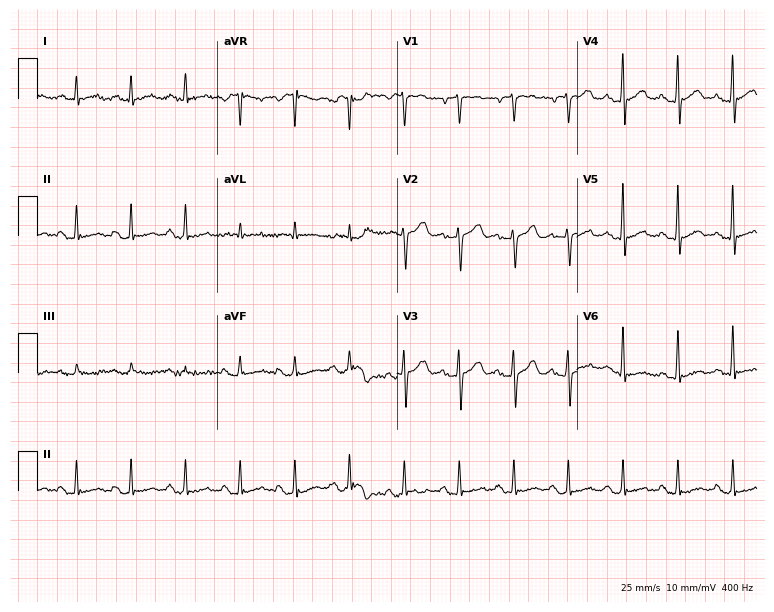
12-lead ECG from a 51-year-old male. Findings include sinus tachycardia (a sinus rate of 100 beats per minute or more).